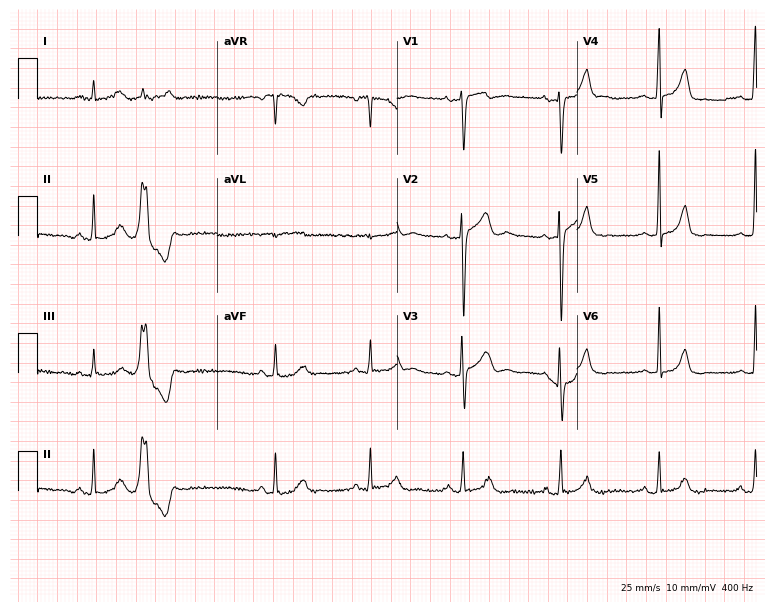
ECG — a 23-year-old male patient. Labelled as a normal ECG.